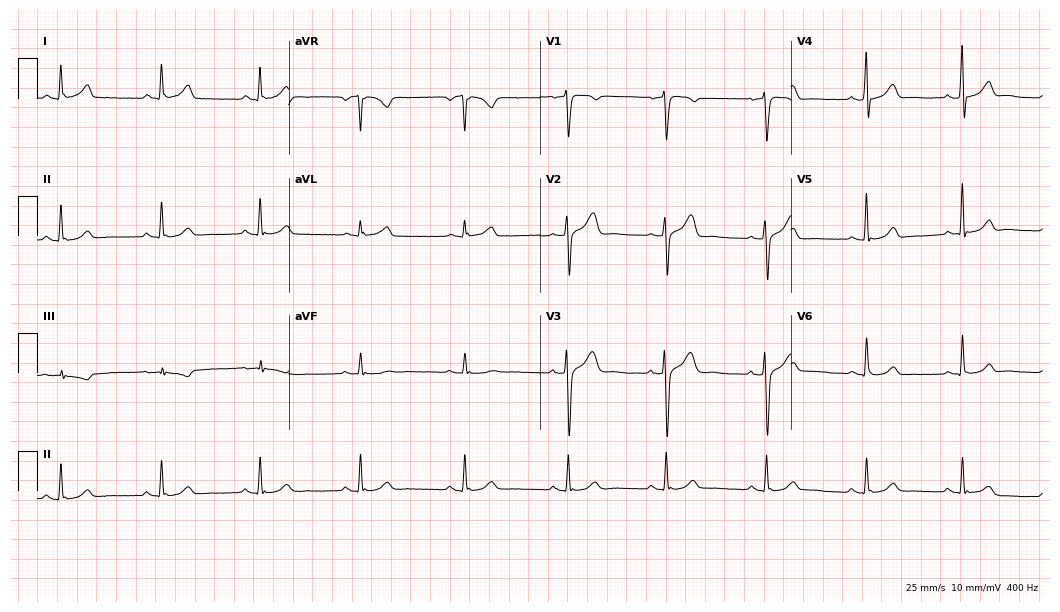
12-lead ECG from a 44-year-old male patient (10.2-second recording at 400 Hz). Recorded interpretation: within normal limits.